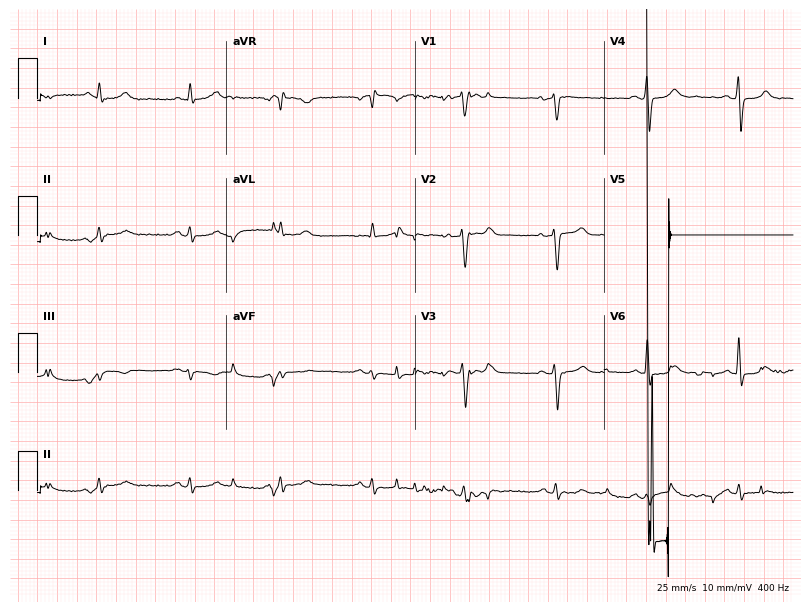
12-lead ECG from a man, 71 years old. No first-degree AV block, right bundle branch block, left bundle branch block, sinus bradycardia, atrial fibrillation or sinus tachycardia recorded for this tracing.